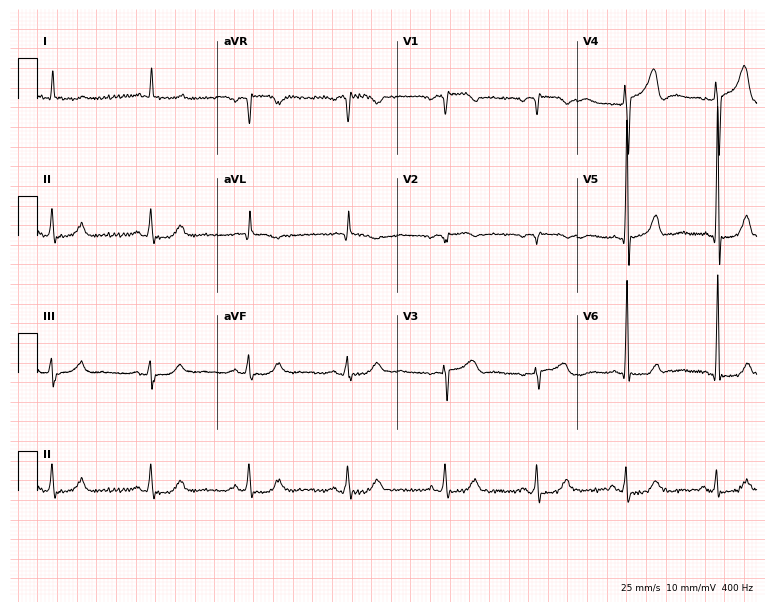
Resting 12-lead electrocardiogram (7.3-second recording at 400 Hz). Patient: a male, 82 years old. None of these six findings is recorded: first-degree AV block, right bundle branch block, left bundle branch block, sinus bradycardia, atrial fibrillation, sinus tachycardia.